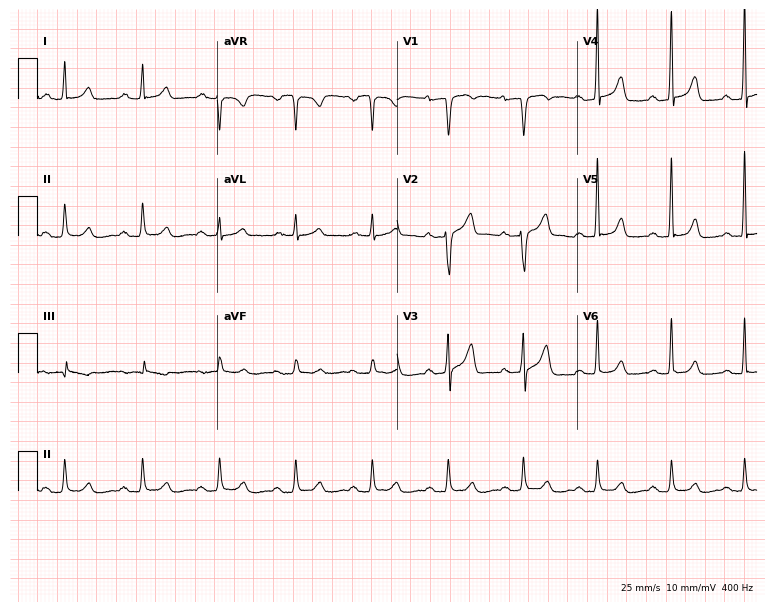
ECG (7.3-second recording at 400 Hz) — an 81-year-old man. Labelled as a normal ECG.